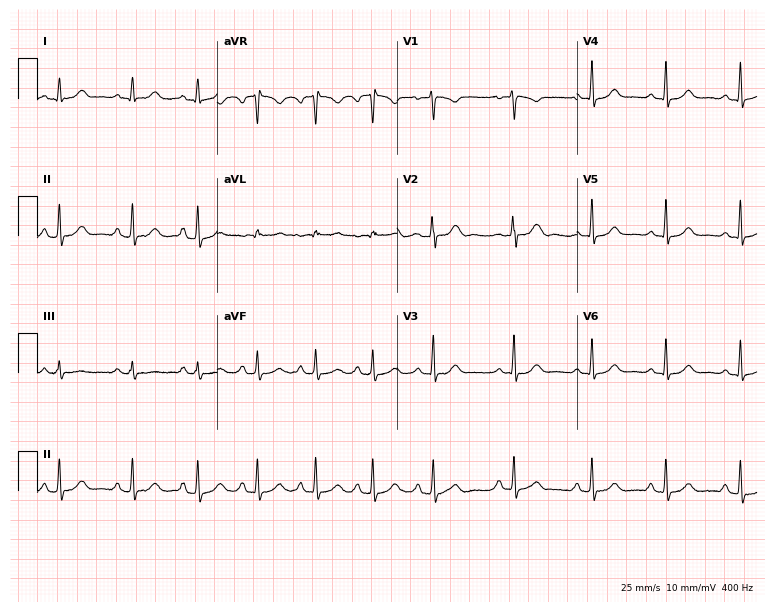
Resting 12-lead electrocardiogram. Patient: a female, 19 years old. Read as a normal ECG.